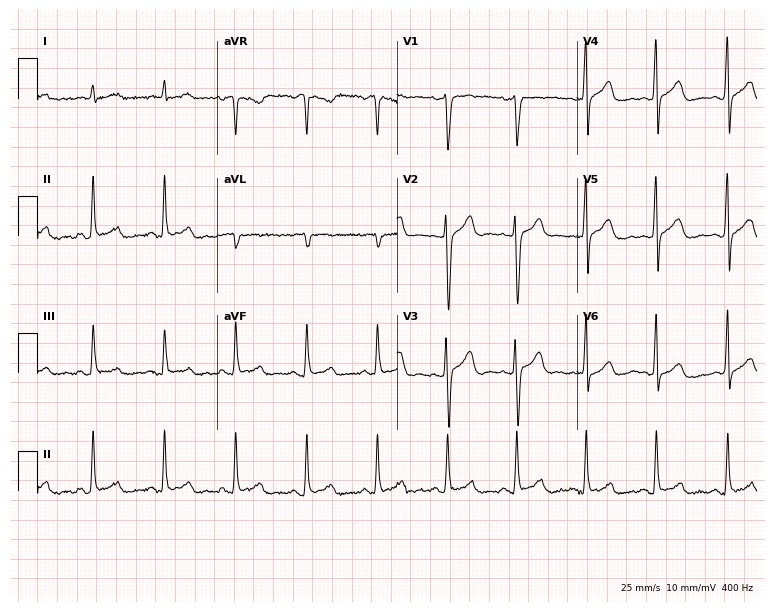
ECG — a male, 43 years old. Screened for six findings — first-degree AV block, right bundle branch block (RBBB), left bundle branch block (LBBB), sinus bradycardia, atrial fibrillation (AF), sinus tachycardia — none is recorded. Only these six findings were labelled.